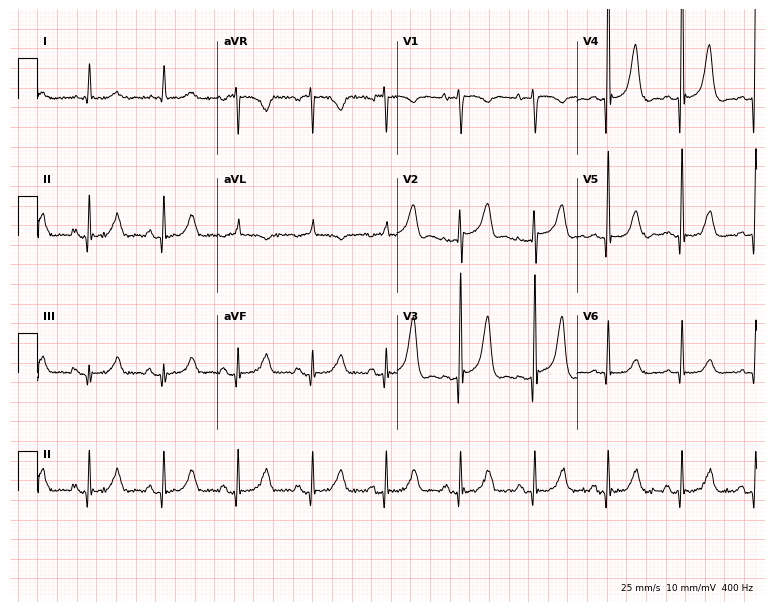
Resting 12-lead electrocardiogram. Patient: an 83-year-old woman. None of these six findings is recorded: first-degree AV block, right bundle branch block, left bundle branch block, sinus bradycardia, atrial fibrillation, sinus tachycardia. Only these six findings were labelled.